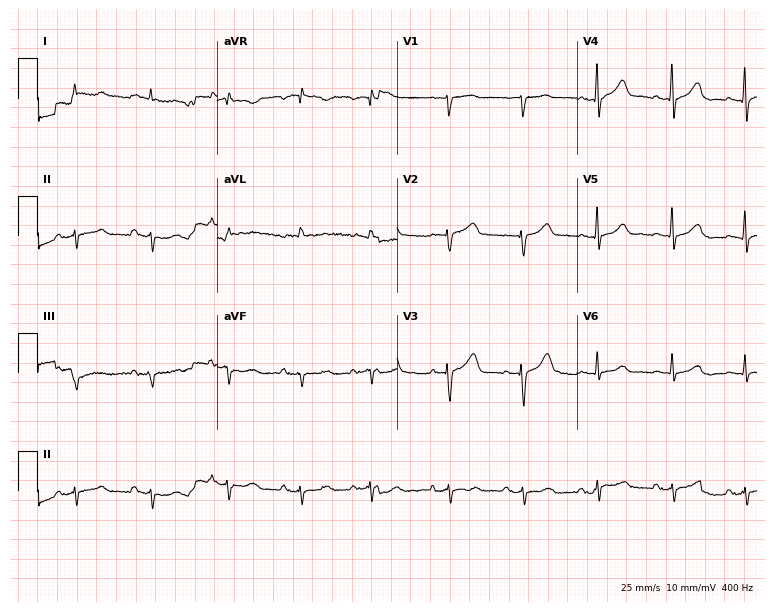
ECG — an 85-year-old male. Screened for six findings — first-degree AV block, right bundle branch block, left bundle branch block, sinus bradycardia, atrial fibrillation, sinus tachycardia — none is recorded. Only these six findings were labelled.